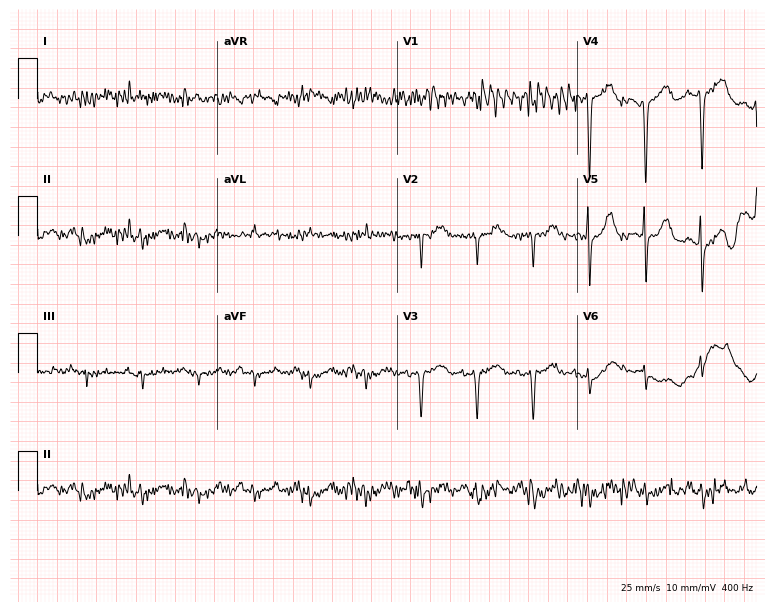
12-lead ECG from a woman, 56 years old (7.3-second recording at 400 Hz). No first-degree AV block, right bundle branch block, left bundle branch block, sinus bradycardia, atrial fibrillation or sinus tachycardia recorded for this tracing. Other findings, if any, are not listed.